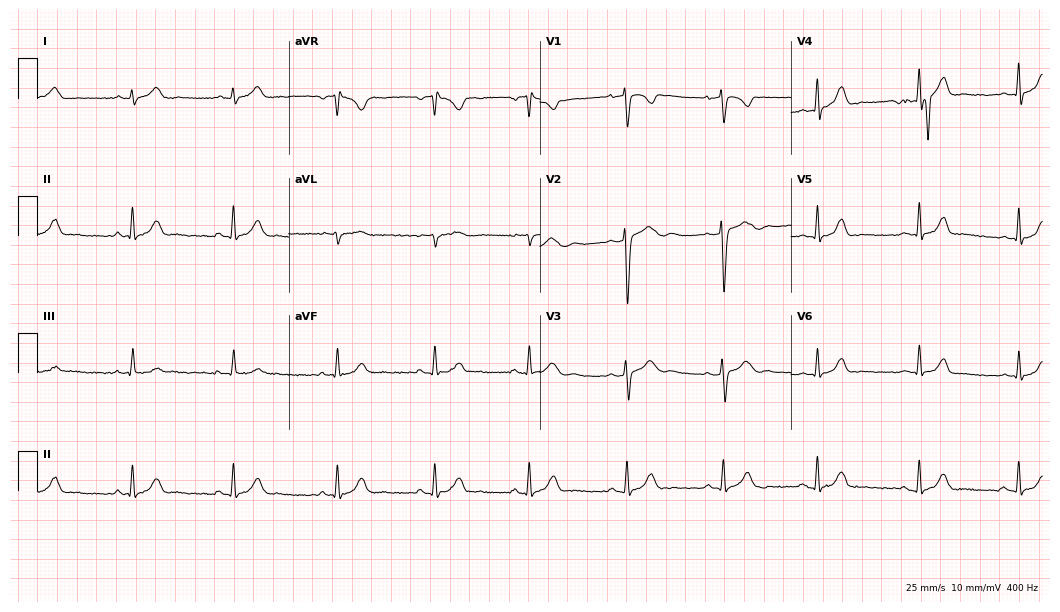
ECG (10.2-second recording at 400 Hz) — a female patient, 29 years old. Screened for six findings — first-degree AV block, right bundle branch block, left bundle branch block, sinus bradycardia, atrial fibrillation, sinus tachycardia — none is recorded.